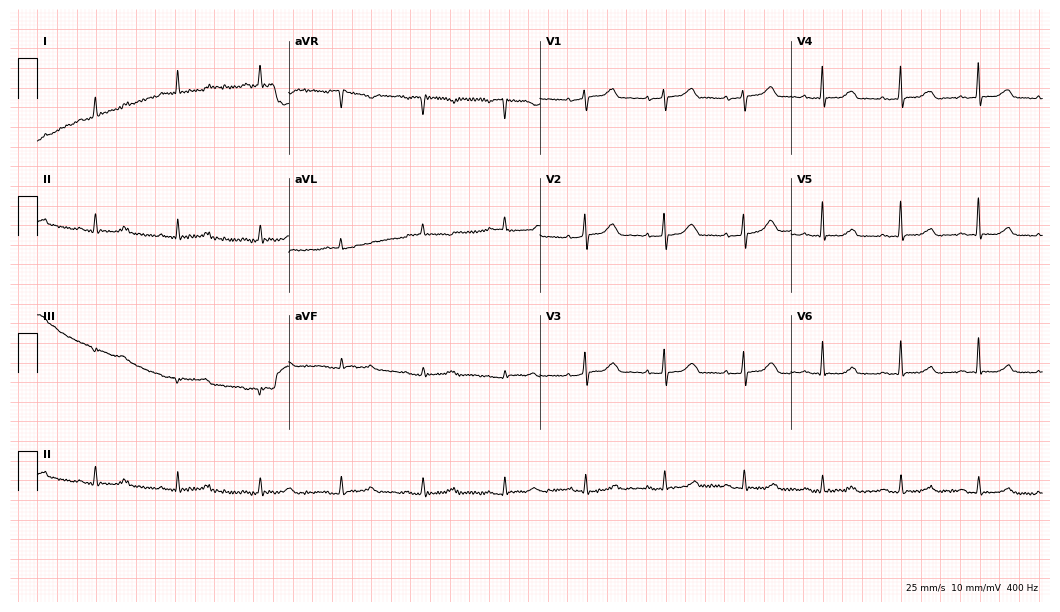
Resting 12-lead electrocardiogram (10.2-second recording at 400 Hz). Patient: a 70-year-old woman. None of these six findings is recorded: first-degree AV block, right bundle branch block (RBBB), left bundle branch block (LBBB), sinus bradycardia, atrial fibrillation (AF), sinus tachycardia.